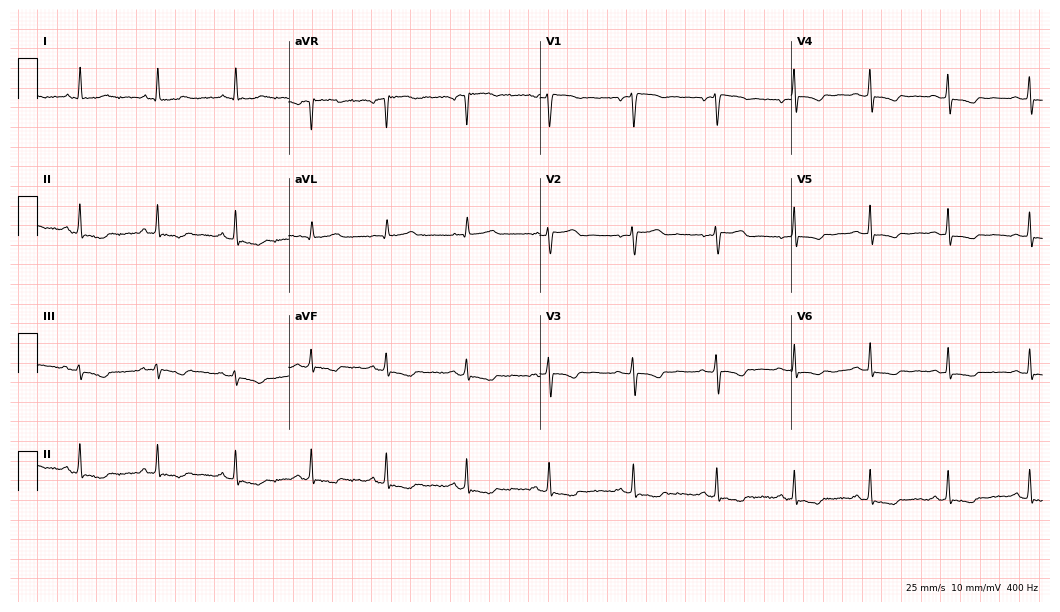
Resting 12-lead electrocardiogram (10.2-second recording at 400 Hz). Patient: a female, 43 years old. None of these six findings is recorded: first-degree AV block, right bundle branch block (RBBB), left bundle branch block (LBBB), sinus bradycardia, atrial fibrillation (AF), sinus tachycardia. Only these six findings were labelled.